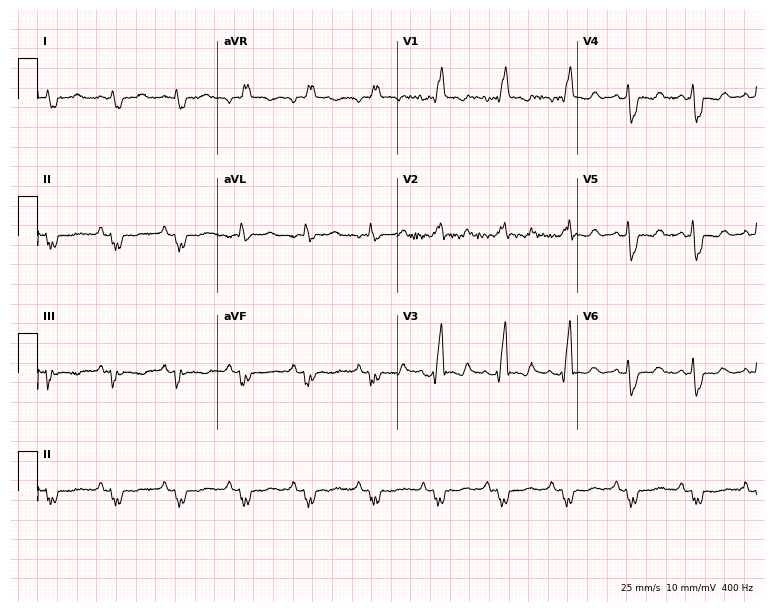
ECG — a 78-year-old female. Findings include right bundle branch block.